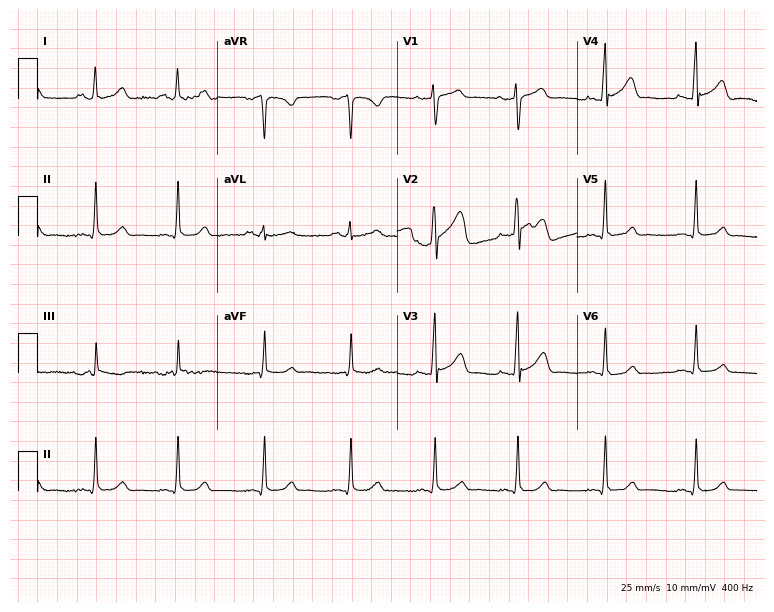
ECG (7.3-second recording at 400 Hz) — a male, 34 years old. Screened for six findings — first-degree AV block, right bundle branch block, left bundle branch block, sinus bradycardia, atrial fibrillation, sinus tachycardia — none is recorded.